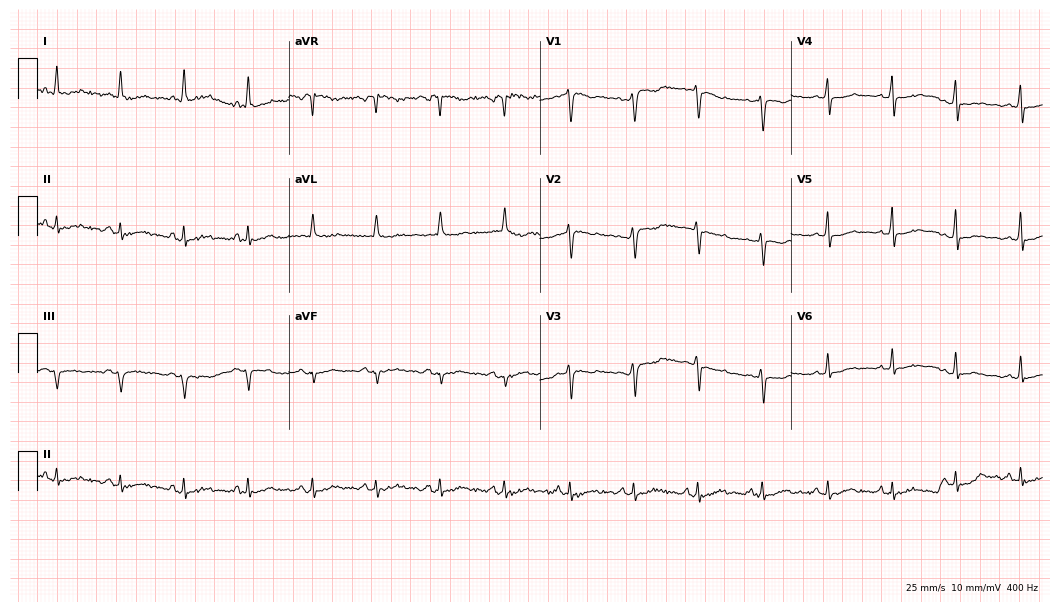
Standard 12-lead ECG recorded from a woman, 52 years old. None of these six findings is recorded: first-degree AV block, right bundle branch block (RBBB), left bundle branch block (LBBB), sinus bradycardia, atrial fibrillation (AF), sinus tachycardia. Findings outside these six are not listed.